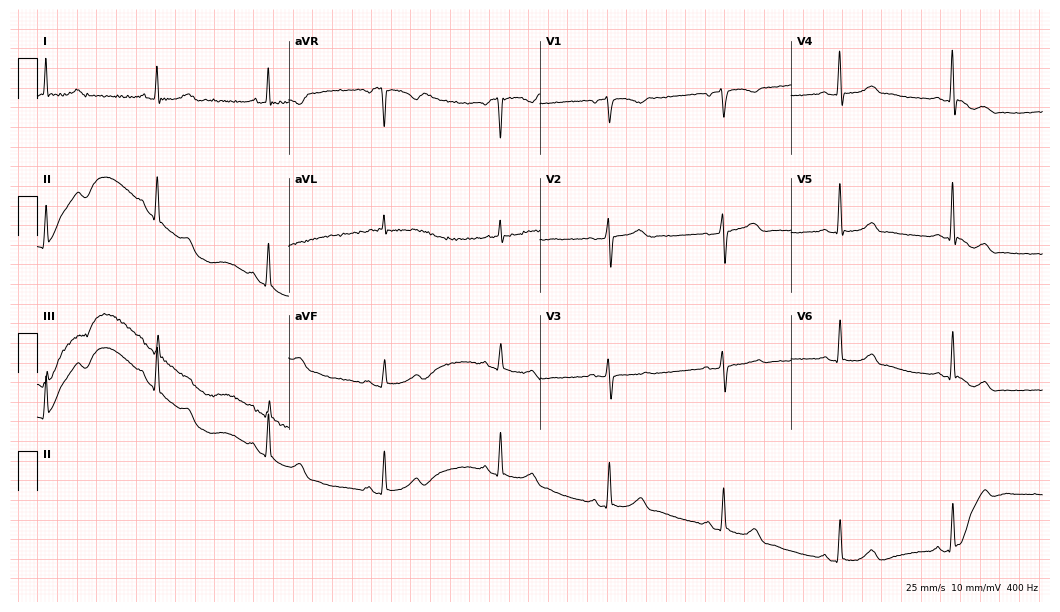
ECG — a female, 64 years old. Labelled as a normal ECG.